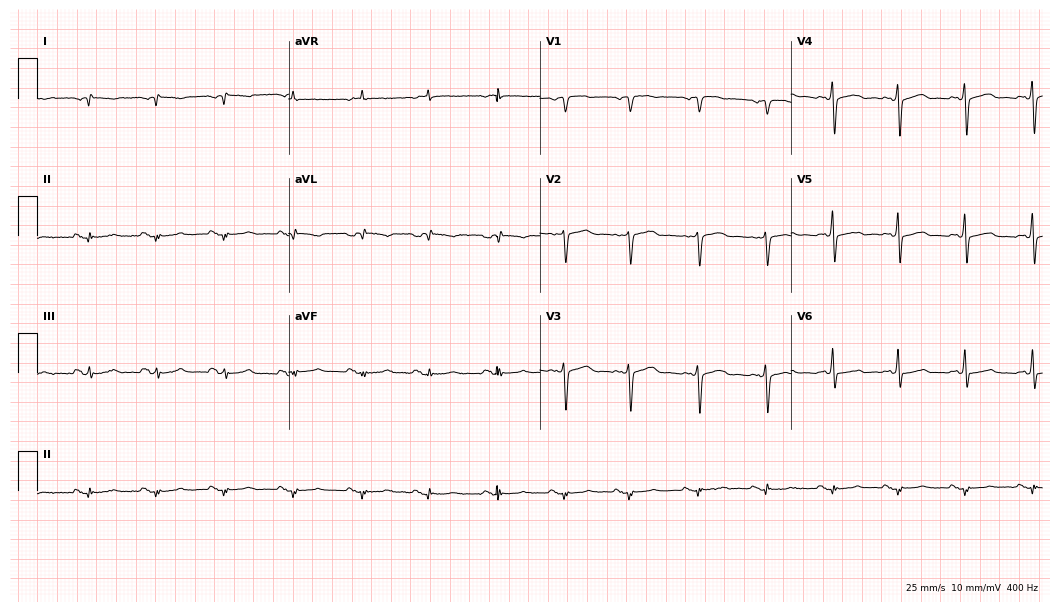
12-lead ECG from a 68-year-old man. No first-degree AV block, right bundle branch block (RBBB), left bundle branch block (LBBB), sinus bradycardia, atrial fibrillation (AF) or sinus tachycardia recorded for this tracing. Other findings, if any, are not listed.